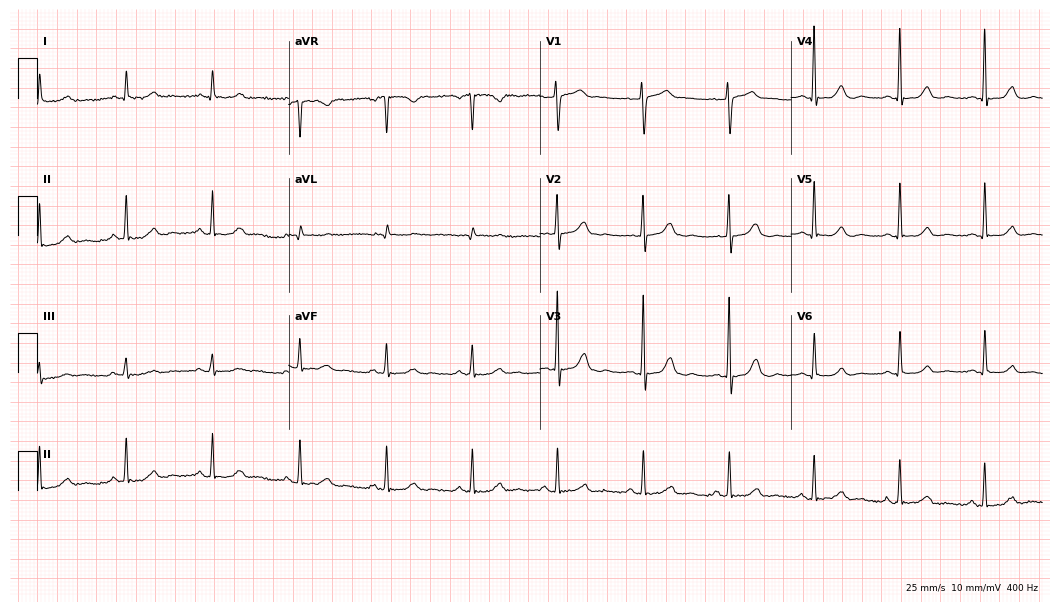
12-lead ECG from an 83-year-old man. Recorded interpretation: within normal limits.